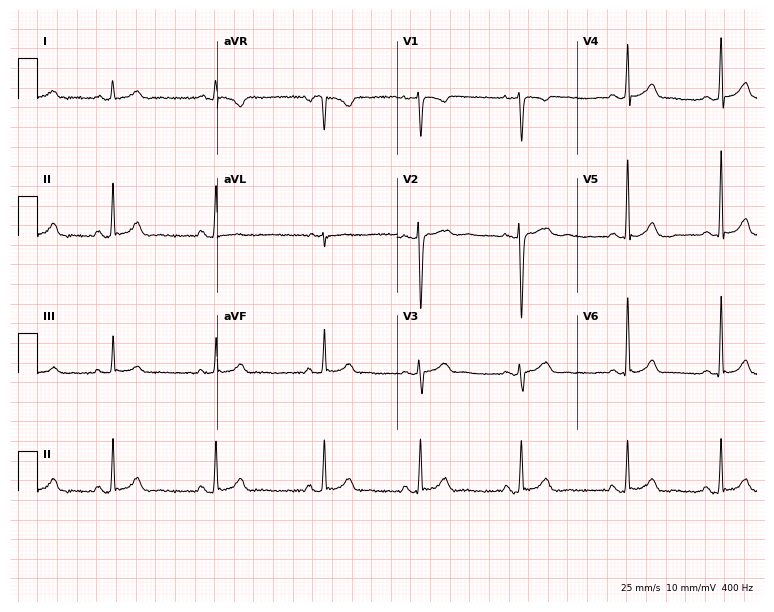
12-lead ECG from a 19-year-old female patient. No first-degree AV block, right bundle branch block, left bundle branch block, sinus bradycardia, atrial fibrillation or sinus tachycardia recorded for this tracing.